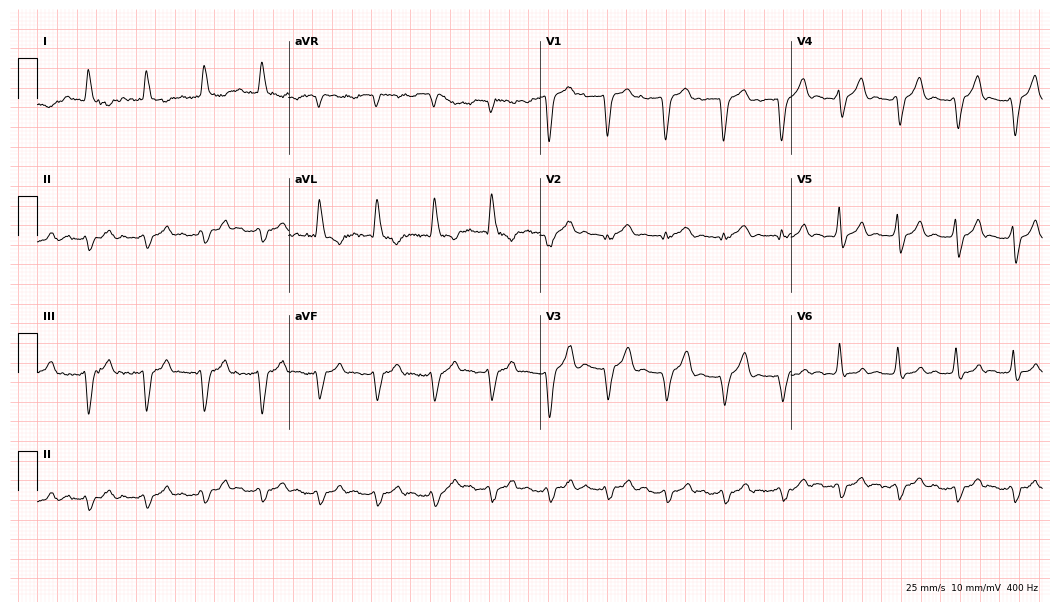
Standard 12-lead ECG recorded from a male, 78 years old (10.2-second recording at 400 Hz). The tracing shows first-degree AV block, left bundle branch block (LBBB).